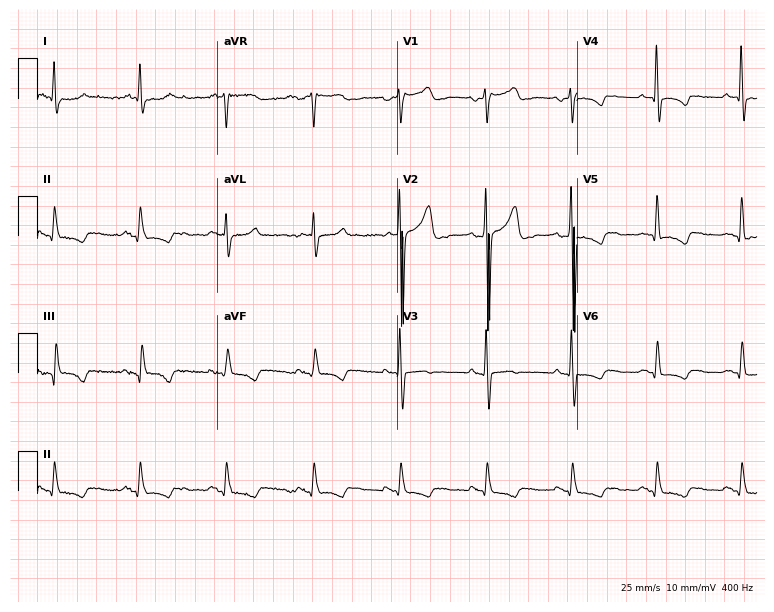
12-lead ECG from a 71-year-old male patient. Screened for six findings — first-degree AV block, right bundle branch block, left bundle branch block, sinus bradycardia, atrial fibrillation, sinus tachycardia — none is recorded. Only these six findings were labelled.